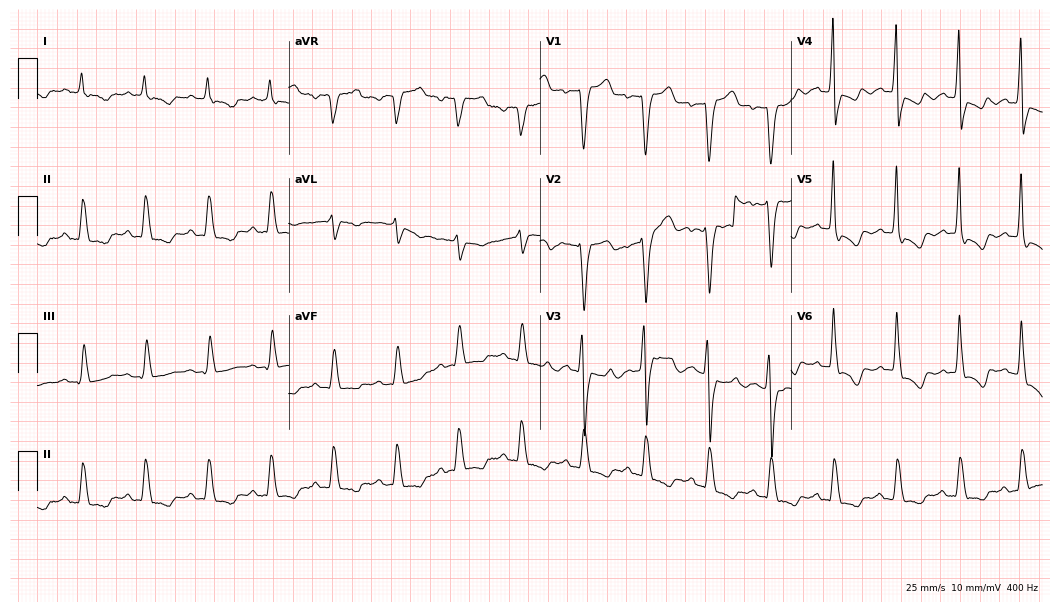
Standard 12-lead ECG recorded from a 77-year-old man (10.2-second recording at 400 Hz). None of these six findings is recorded: first-degree AV block, right bundle branch block (RBBB), left bundle branch block (LBBB), sinus bradycardia, atrial fibrillation (AF), sinus tachycardia. Only these six findings were labelled.